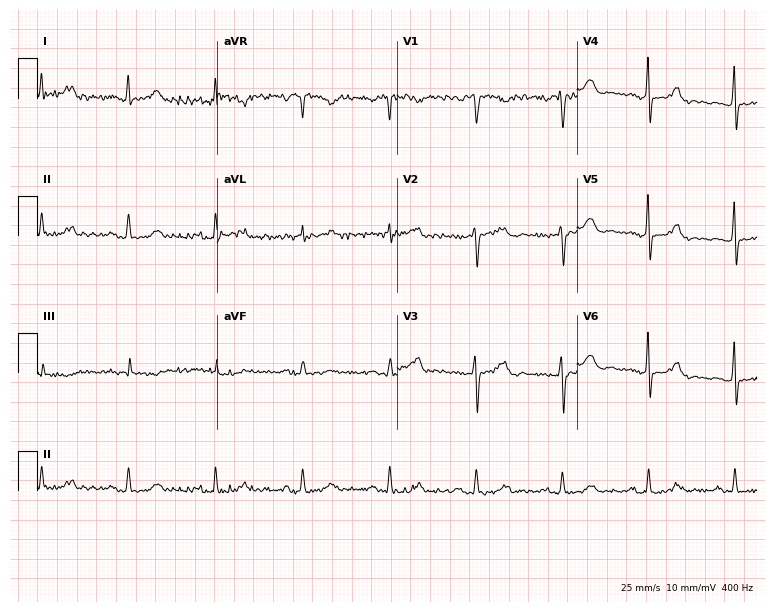
12-lead ECG from a male patient, 84 years old (7.3-second recording at 400 Hz). No first-degree AV block, right bundle branch block (RBBB), left bundle branch block (LBBB), sinus bradycardia, atrial fibrillation (AF) or sinus tachycardia recorded for this tracing. Findings outside these six are not listed.